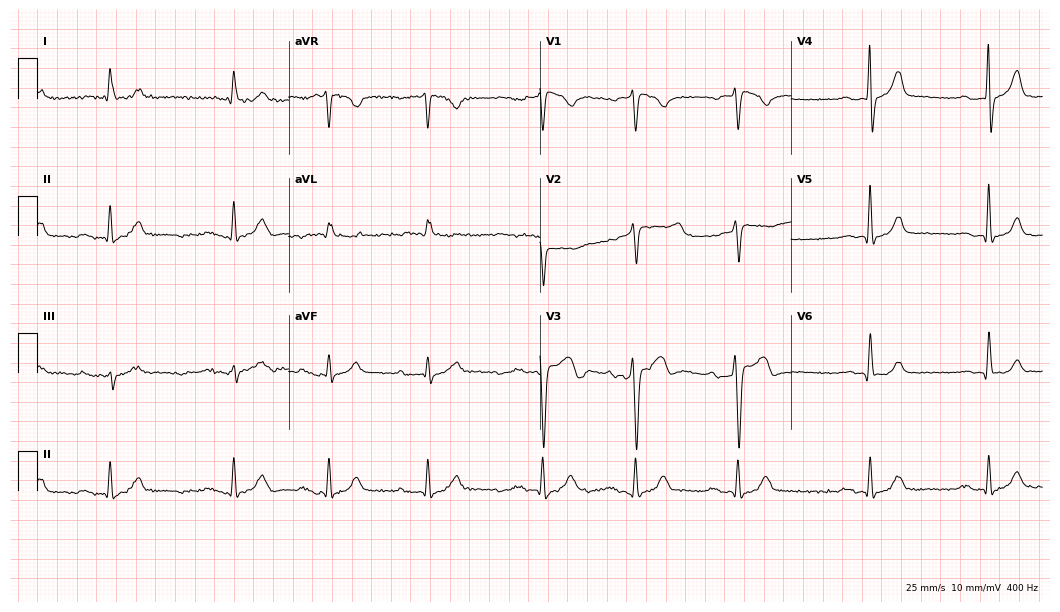
Resting 12-lead electrocardiogram. Patient: an 83-year-old female. The tracing shows first-degree AV block.